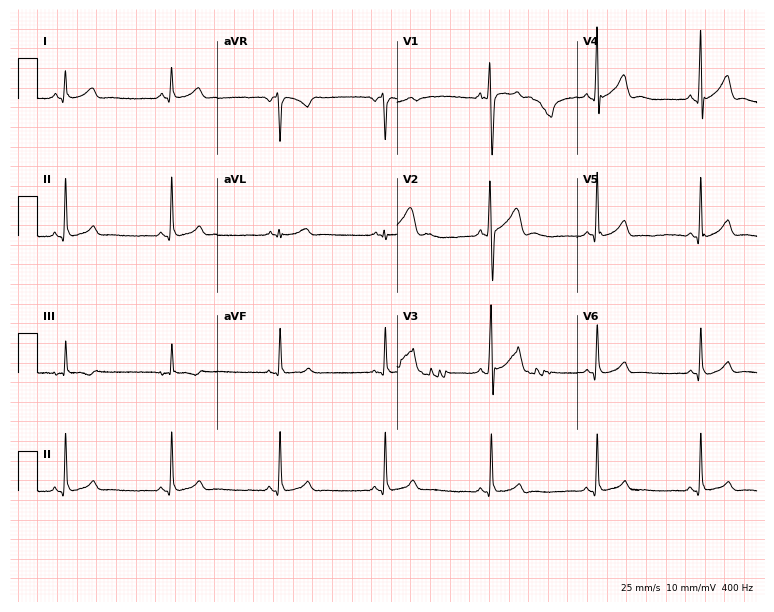
Standard 12-lead ECG recorded from a 22-year-old male patient. None of these six findings is recorded: first-degree AV block, right bundle branch block (RBBB), left bundle branch block (LBBB), sinus bradycardia, atrial fibrillation (AF), sinus tachycardia. Findings outside these six are not listed.